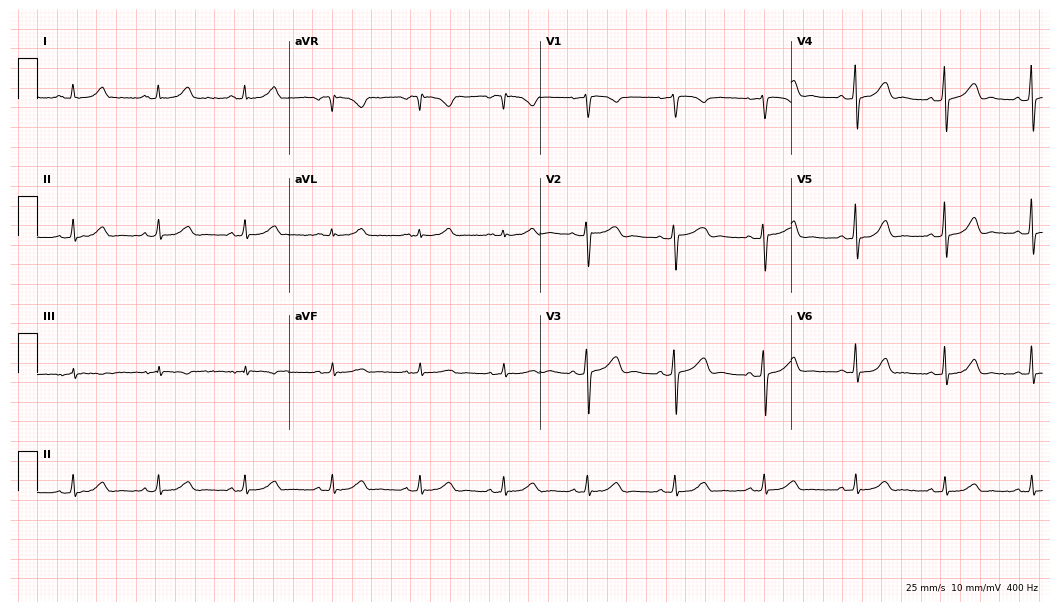
Resting 12-lead electrocardiogram (10.2-second recording at 400 Hz). Patient: a male, 42 years old. None of these six findings is recorded: first-degree AV block, right bundle branch block, left bundle branch block, sinus bradycardia, atrial fibrillation, sinus tachycardia. Findings outside these six are not listed.